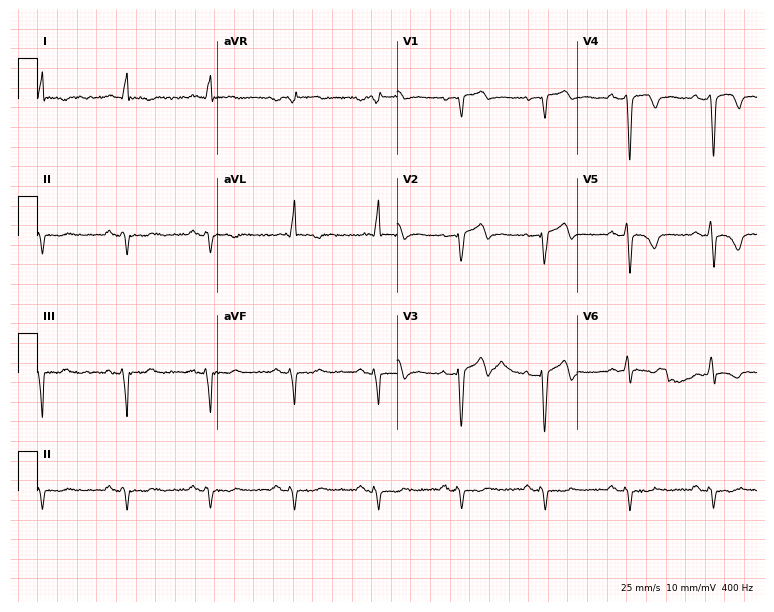
Electrocardiogram (7.3-second recording at 400 Hz), a 73-year-old male patient. Of the six screened findings (first-degree AV block, right bundle branch block (RBBB), left bundle branch block (LBBB), sinus bradycardia, atrial fibrillation (AF), sinus tachycardia), none is recorded.